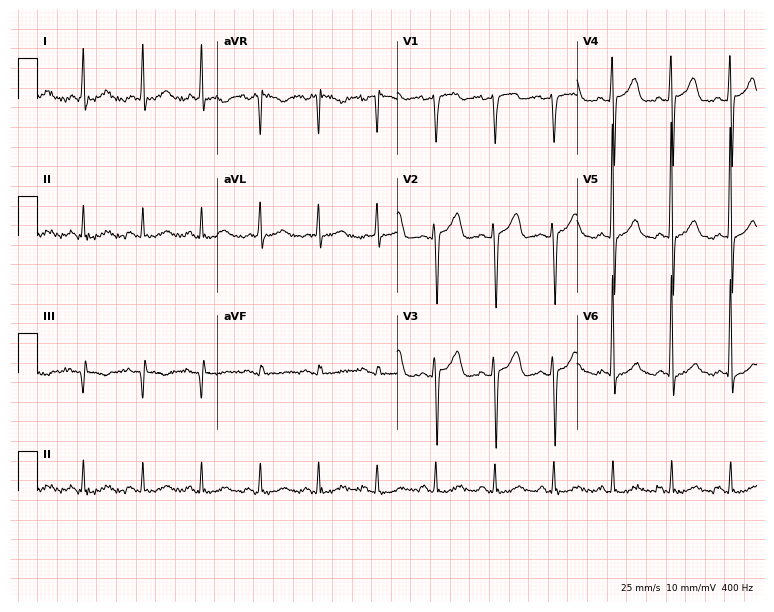
Electrocardiogram (7.3-second recording at 400 Hz), a 65-year-old male patient. Of the six screened findings (first-degree AV block, right bundle branch block (RBBB), left bundle branch block (LBBB), sinus bradycardia, atrial fibrillation (AF), sinus tachycardia), none is recorded. Findings outside these six are not listed.